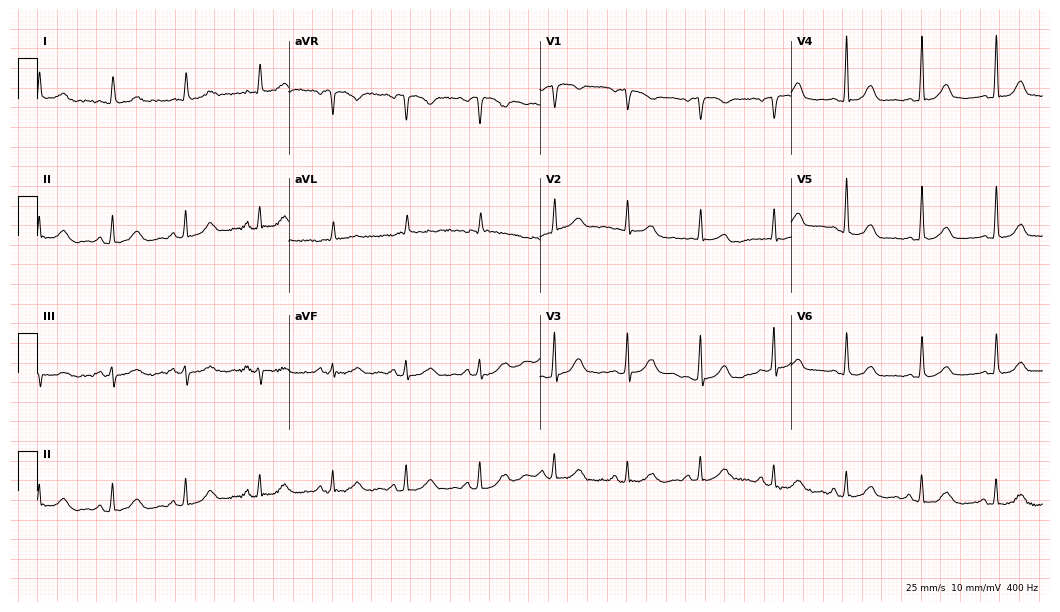
ECG (10.2-second recording at 400 Hz) — a female, 72 years old. Labelled as a normal ECG.